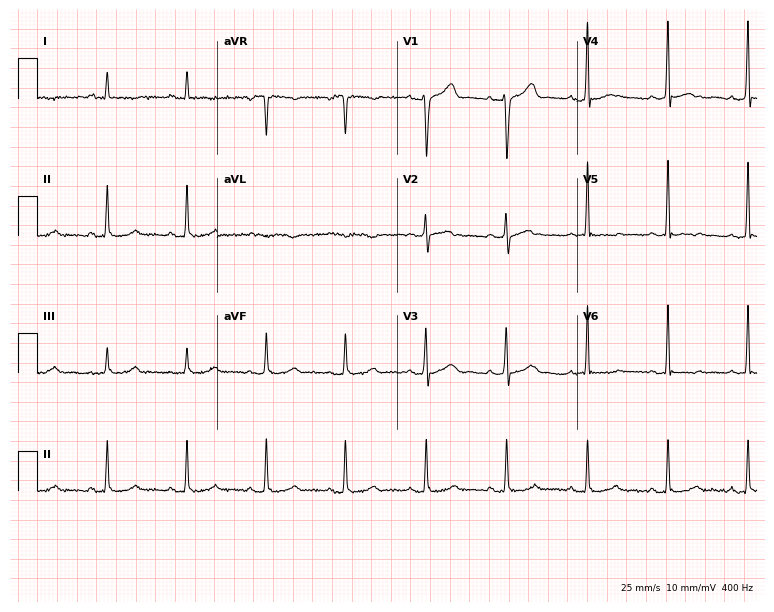
Resting 12-lead electrocardiogram. Patient: a man, 42 years old. None of these six findings is recorded: first-degree AV block, right bundle branch block, left bundle branch block, sinus bradycardia, atrial fibrillation, sinus tachycardia.